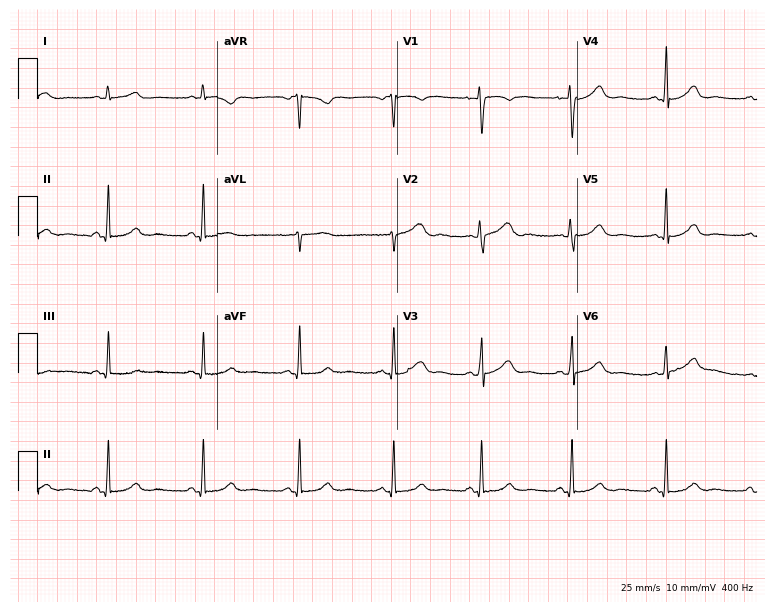
Electrocardiogram, a 28-year-old female. Overall reading on record: normal ECG.